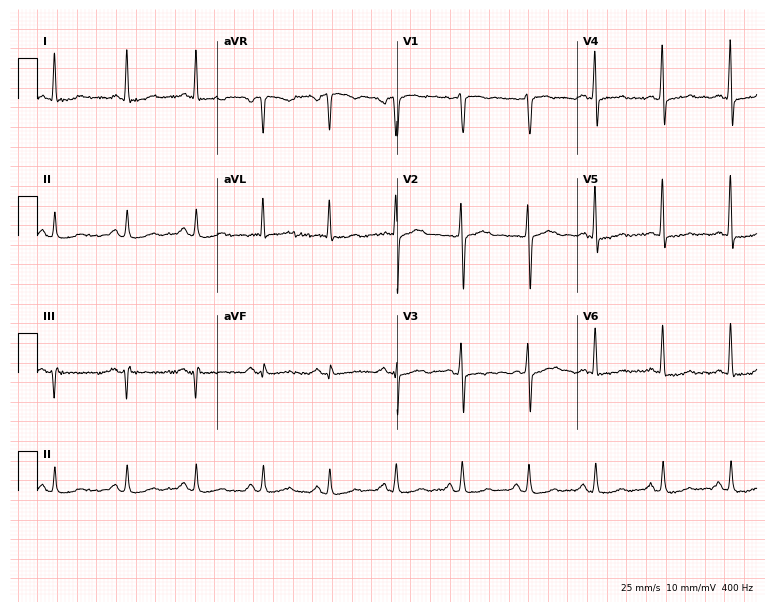
ECG — a 76-year-old male. Screened for six findings — first-degree AV block, right bundle branch block (RBBB), left bundle branch block (LBBB), sinus bradycardia, atrial fibrillation (AF), sinus tachycardia — none is recorded. Findings outside these six are not listed.